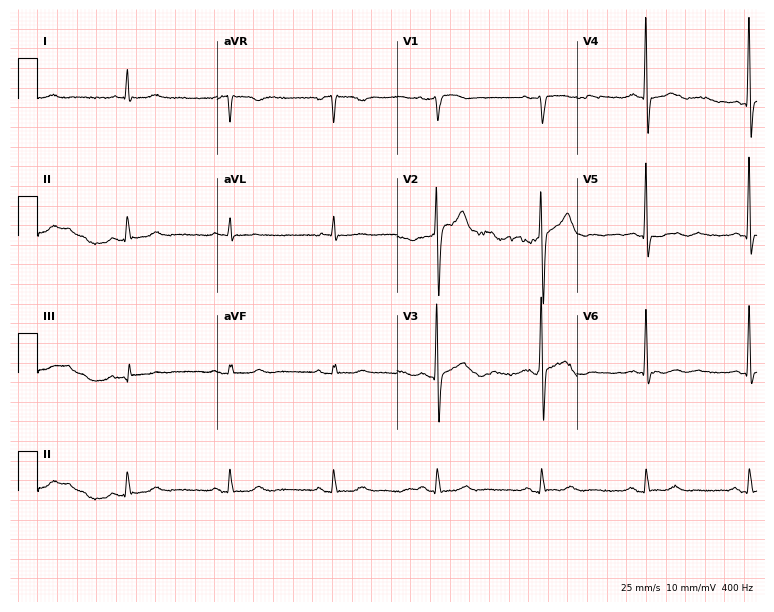
Standard 12-lead ECG recorded from a 77-year-old male. None of these six findings is recorded: first-degree AV block, right bundle branch block, left bundle branch block, sinus bradycardia, atrial fibrillation, sinus tachycardia.